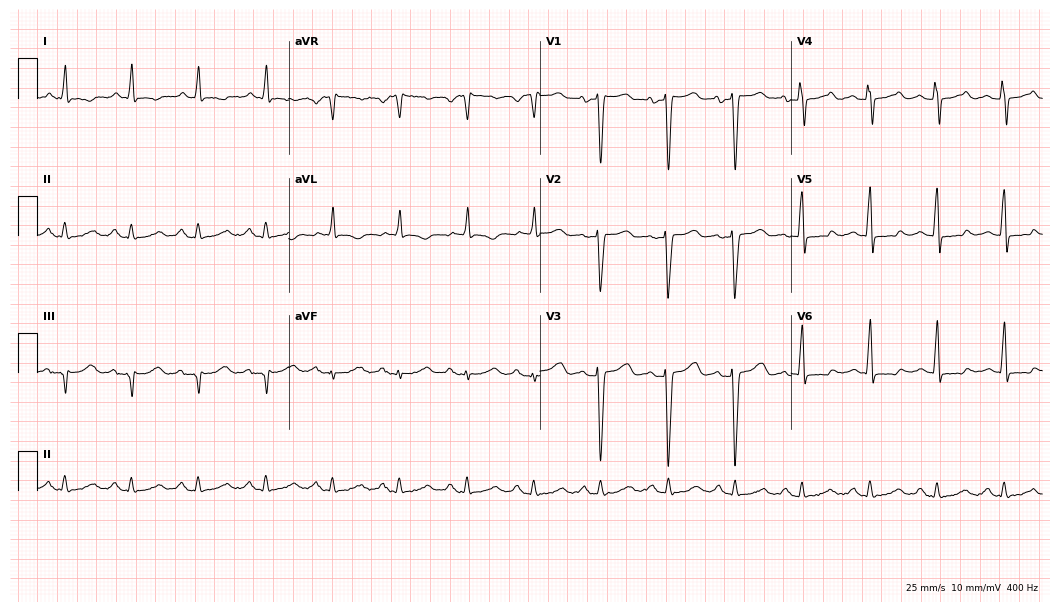
12-lead ECG (10.2-second recording at 400 Hz) from a man, 45 years old. Screened for six findings — first-degree AV block, right bundle branch block, left bundle branch block, sinus bradycardia, atrial fibrillation, sinus tachycardia — none is recorded. Other findings, if any, are not listed.